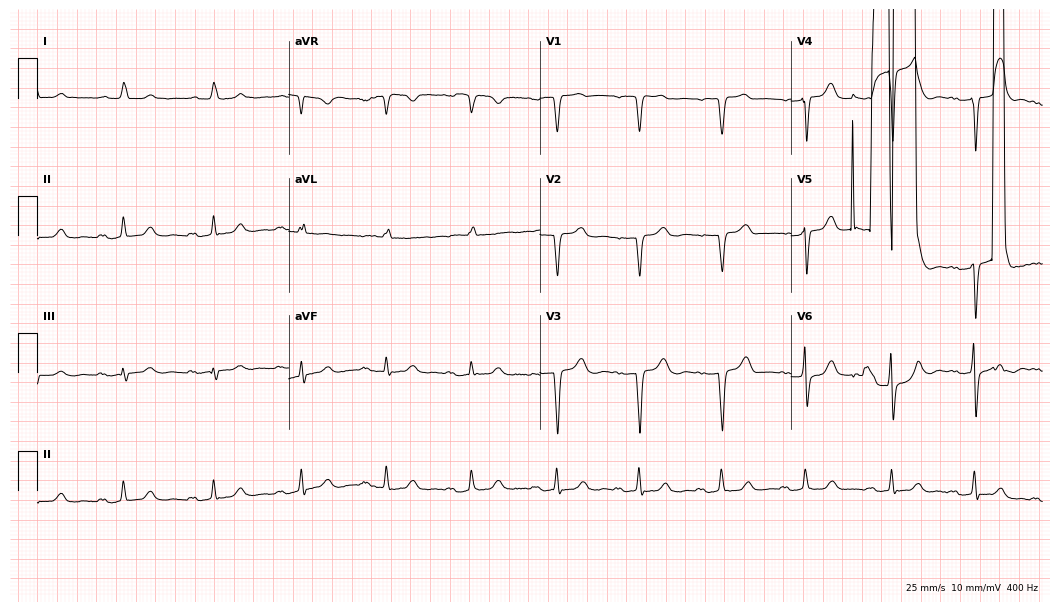
Standard 12-lead ECG recorded from an 85-year-old female patient. The tracing shows right bundle branch block (RBBB), sinus bradycardia (a sinus rate of 50 beats per minute or less).